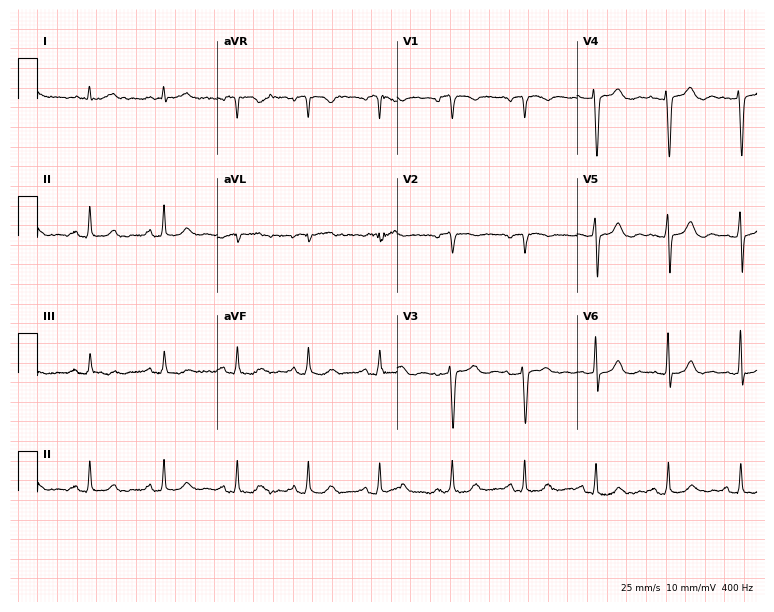
12-lead ECG from a 65-year-old male patient (7.3-second recording at 400 Hz). Recorded interpretation: within normal limits.